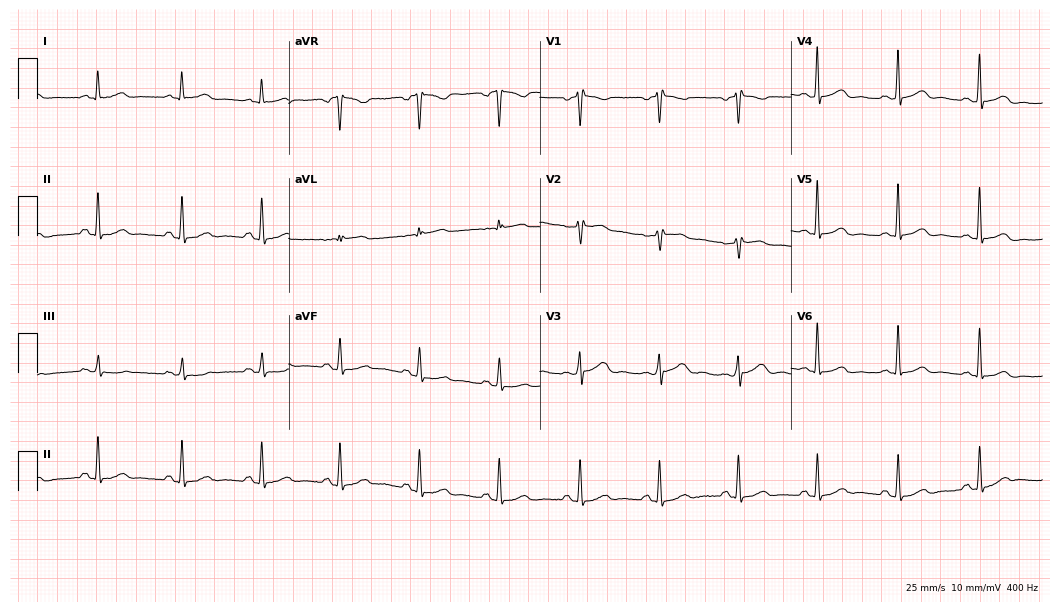
12-lead ECG from a 64-year-old female. Recorded interpretation: within normal limits.